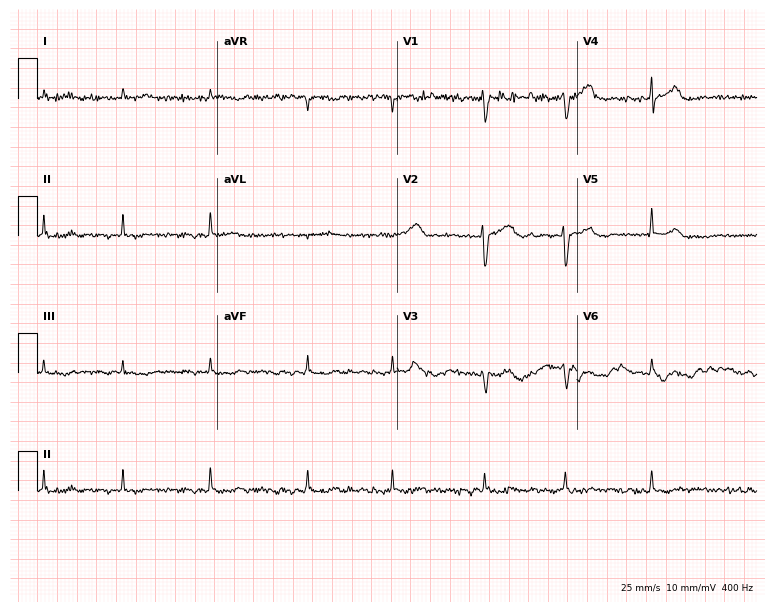
Standard 12-lead ECG recorded from a 77-year-old man (7.3-second recording at 400 Hz). The tracing shows atrial fibrillation (AF).